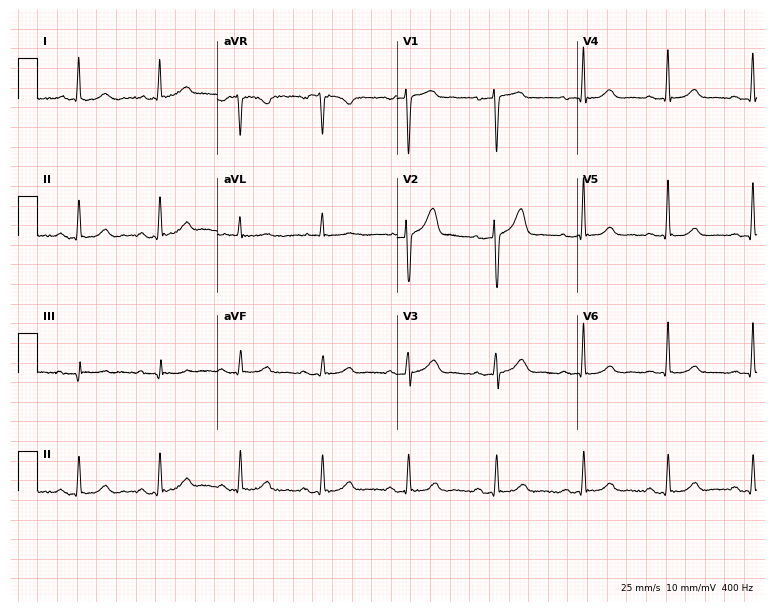
Electrocardiogram (7.3-second recording at 400 Hz), a male patient, 38 years old. Of the six screened findings (first-degree AV block, right bundle branch block (RBBB), left bundle branch block (LBBB), sinus bradycardia, atrial fibrillation (AF), sinus tachycardia), none is recorded. Findings outside these six are not listed.